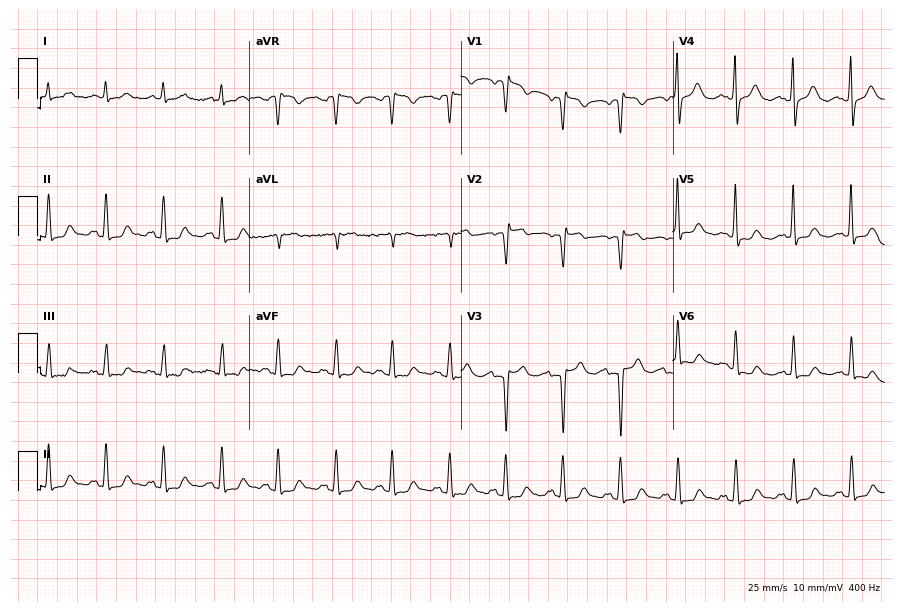
Standard 12-lead ECG recorded from a female, 76 years old. None of these six findings is recorded: first-degree AV block, right bundle branch block, left bundle branch block, sinus bradycardia, atrial fibrillation, sinus tachycardia.